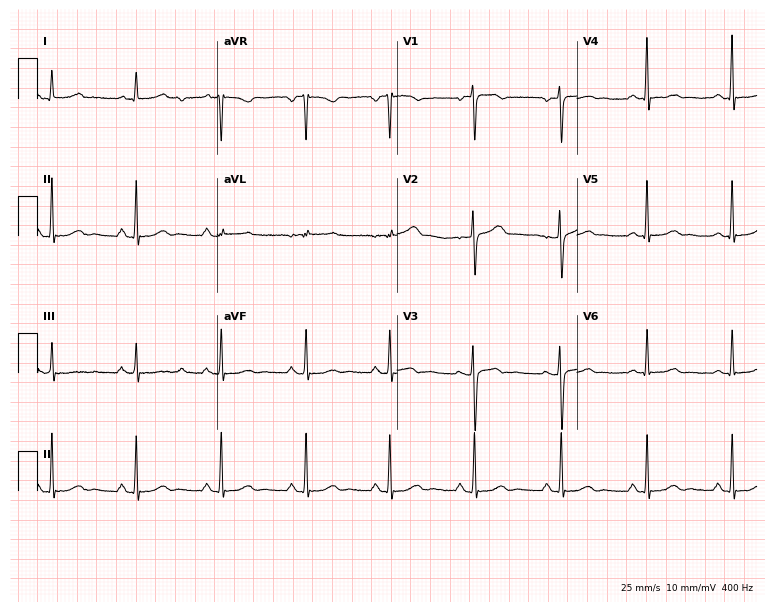
Standard 12-lead ECG recorded from a female patient, 41 years old (7.3-second recording at 400 Hz). Read as a normal ECG.